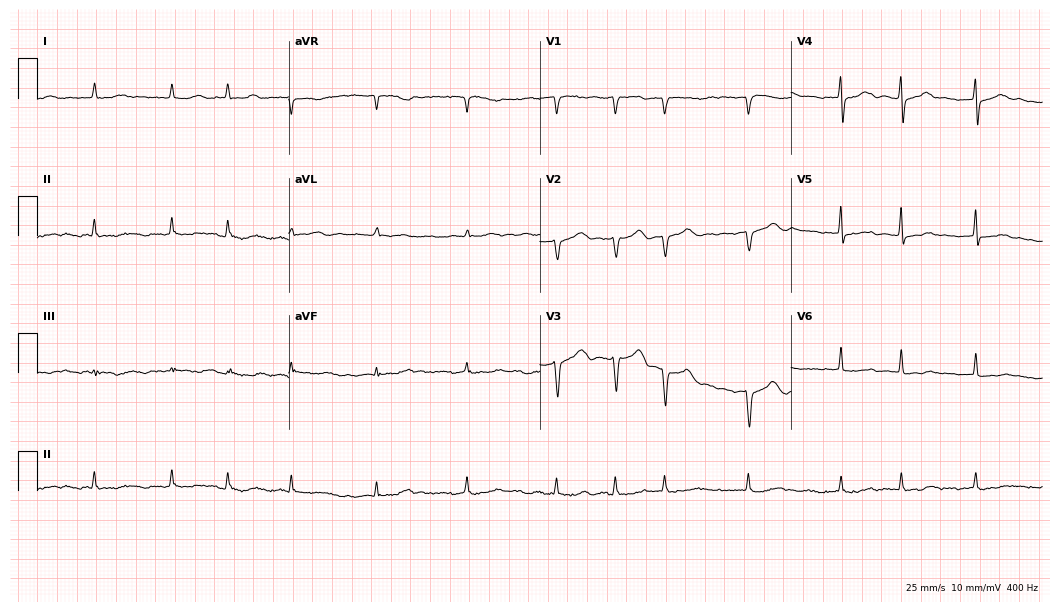
12-lead ECG from a woman, 86 years old (10.2-second recording at 400 Hz). Shows atrial fibrillation (AF).